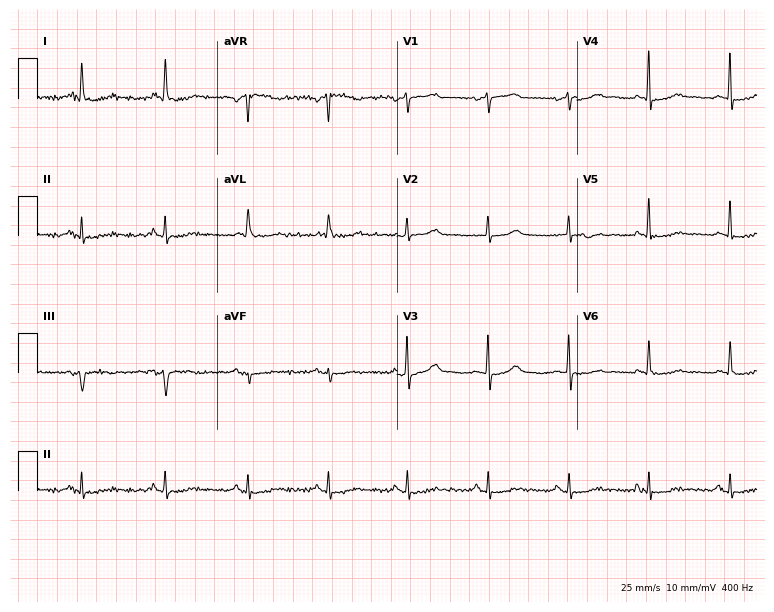
ECG — a 67-year-old female patient. Screened for six findings — first-degree AV block, right bundle branch block (RBBB), left bundle branch block (LBBB), sinus bradycardia, atrial fibrillation (AF), sinus tachycardia — none is recorded.